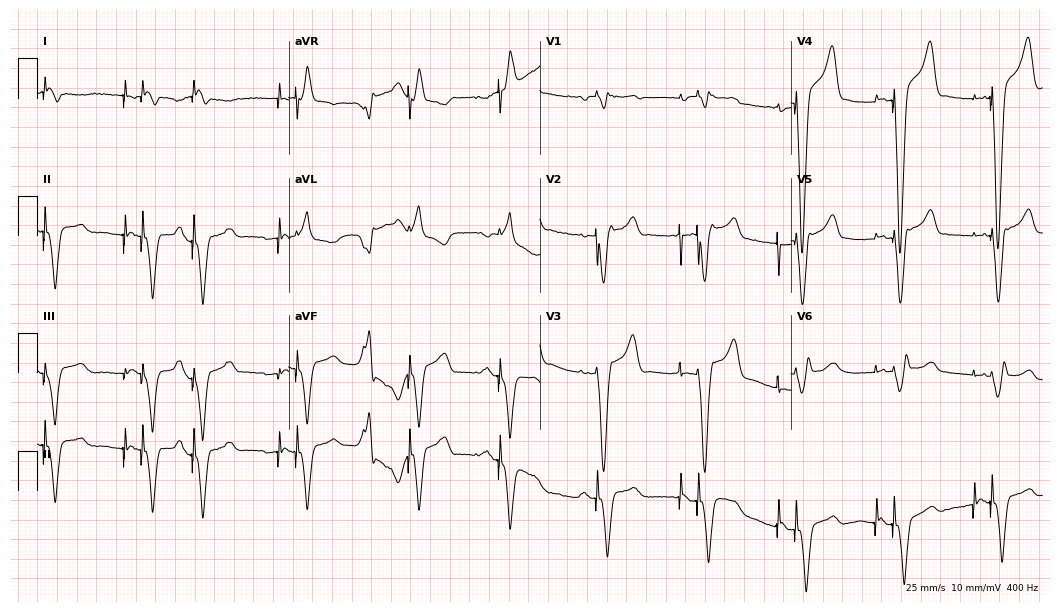
Electrocardiogram (10.2-second recording at 400 Hz), a male patient, 60 years old. Of the six screened findings (first-degree AV block, right bundle branch block (RBBB), left bundle branch block (LBBB), sinus bradycardia, atrial fibrillation (AF), sinus tachycardia), none is recorded. Findings outside these six are not listed.